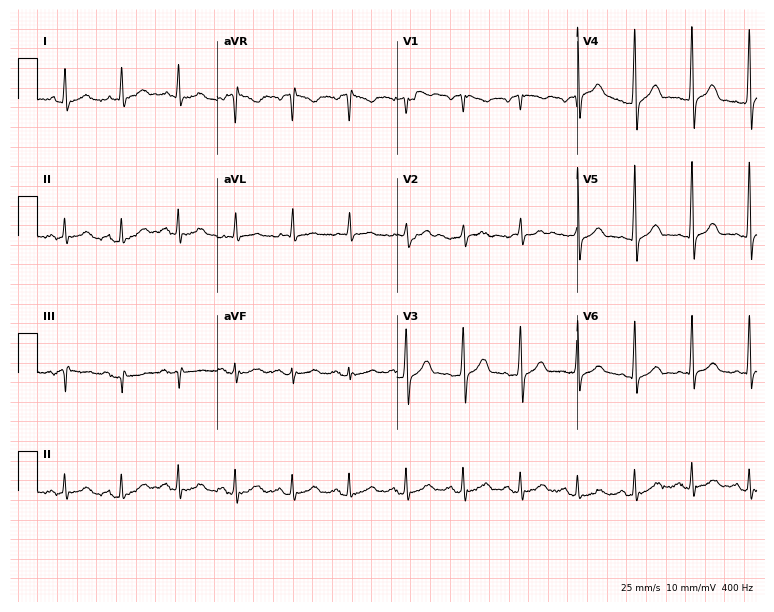
12-lead ECG from a male, 63 years old (7.3-second recording at 400 Hz). Shows sinus tachycardia (a sinus rate of 100 beats per minute or more).